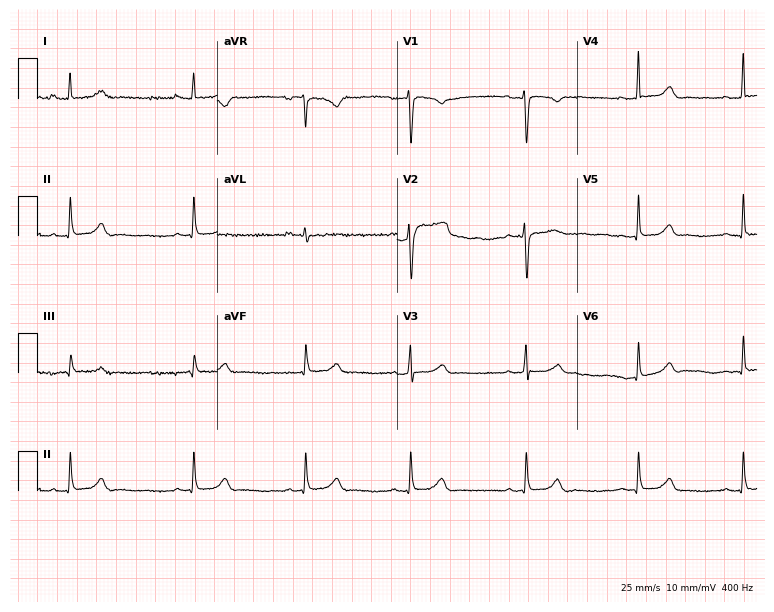
12-lead ECG from a 32-year-old female patient (7.3-second recording at 400 Hz). Recorded interpretation: within normal limits.